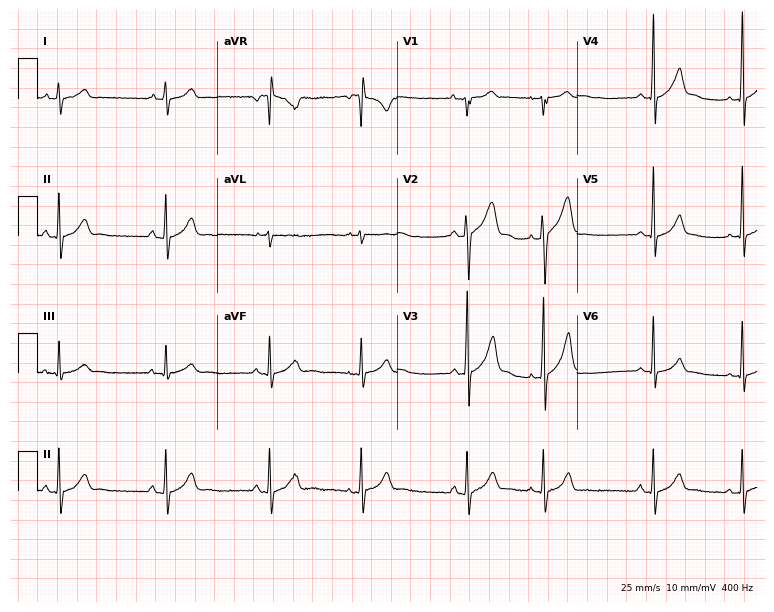
12-lead ECG from a 17-year-old male. Recorded interpretation: within normal limits.